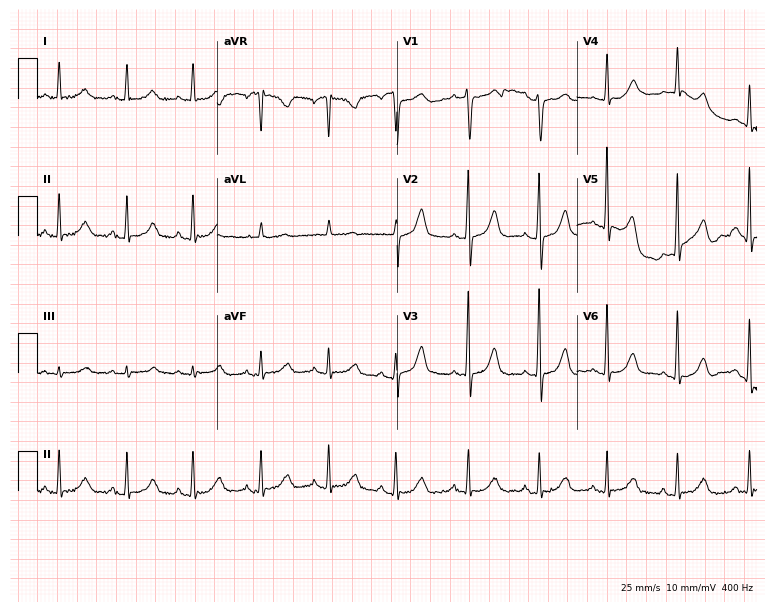
12-lead ECG from a 58-year-old female. Recorded interpretation: within normal limits.